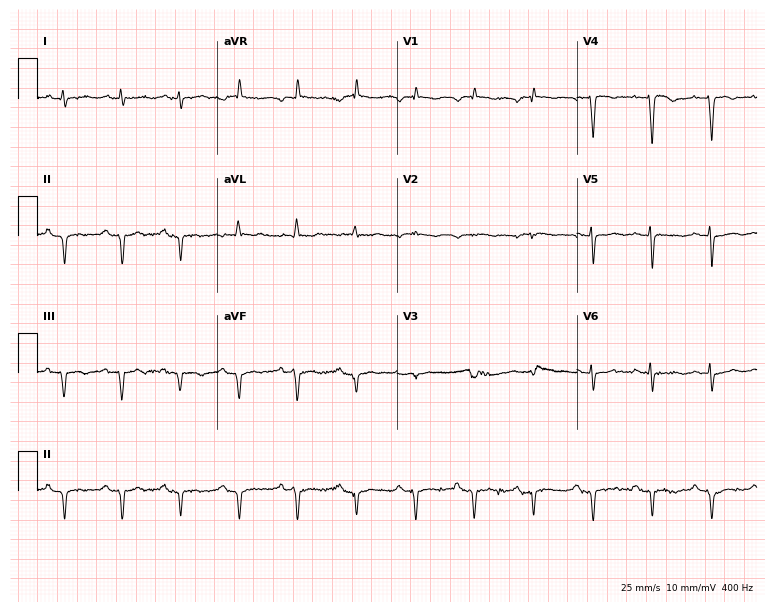
Standard 12-lead ECG recorded from an 82-year-old male. None of these six findings is recorded: first-degree AV block, right bundle branch block, left bundle branch block, sinus bradycardia, atrial fibrillation, sinus tachycardia.